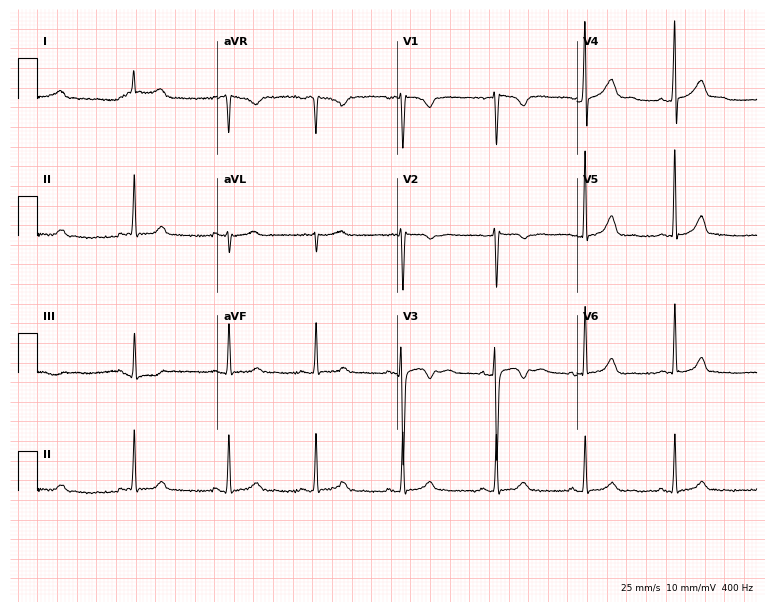
ECG (7.3-second recording at 400 Hz) — a 32-year-old woman. Labelled as a normal ECG.